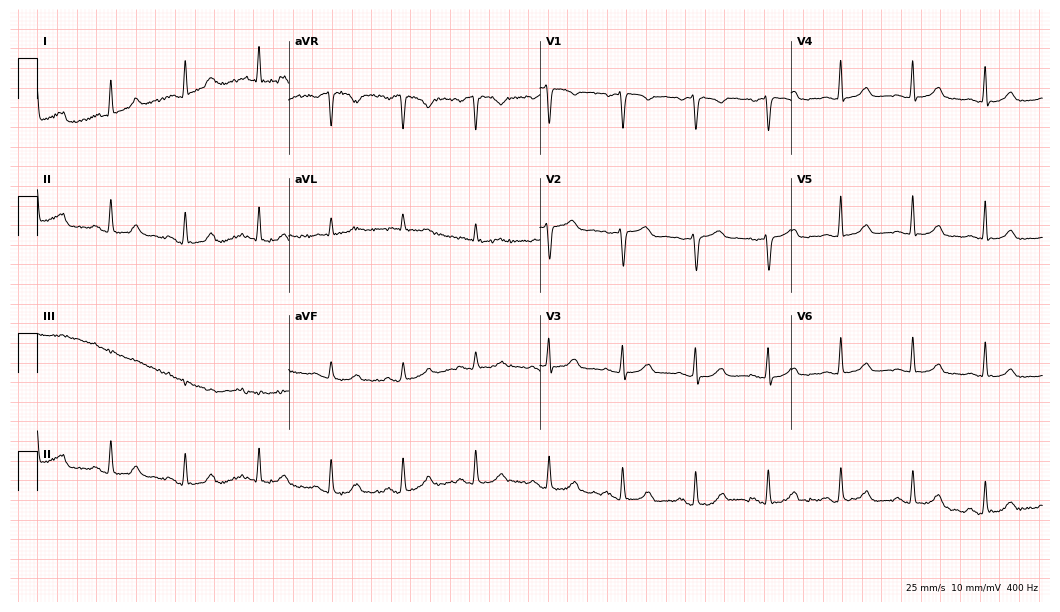
ECG — a 47-year-old woman. Labelled as a normal ECG.